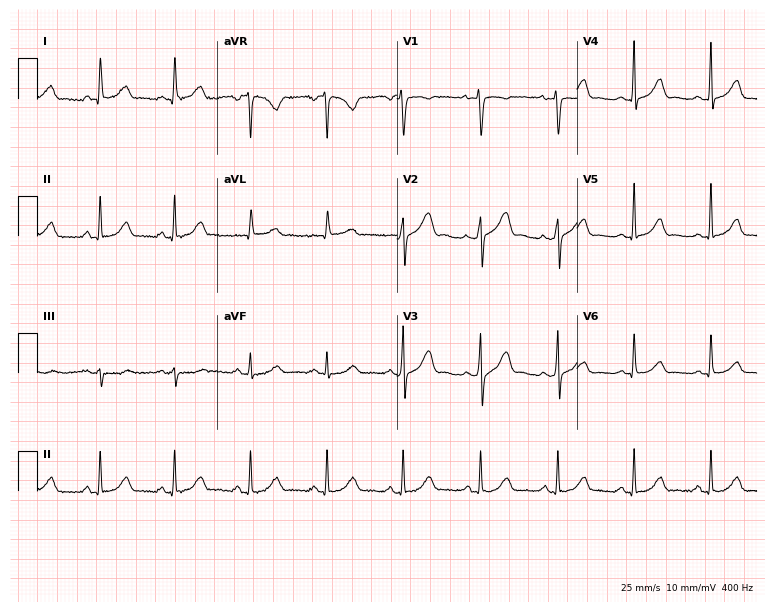
Electrocardiogram (7.3-second recording at 400 Hz), a female patient, 41 years old. Of the six screened findings (first-degree AV block, right bundle branch block, left bundle branch block, sinus bradycardia, atrial fibrillation, sinus tachycardia), none is recorded. Other findings, if any, are not listed.